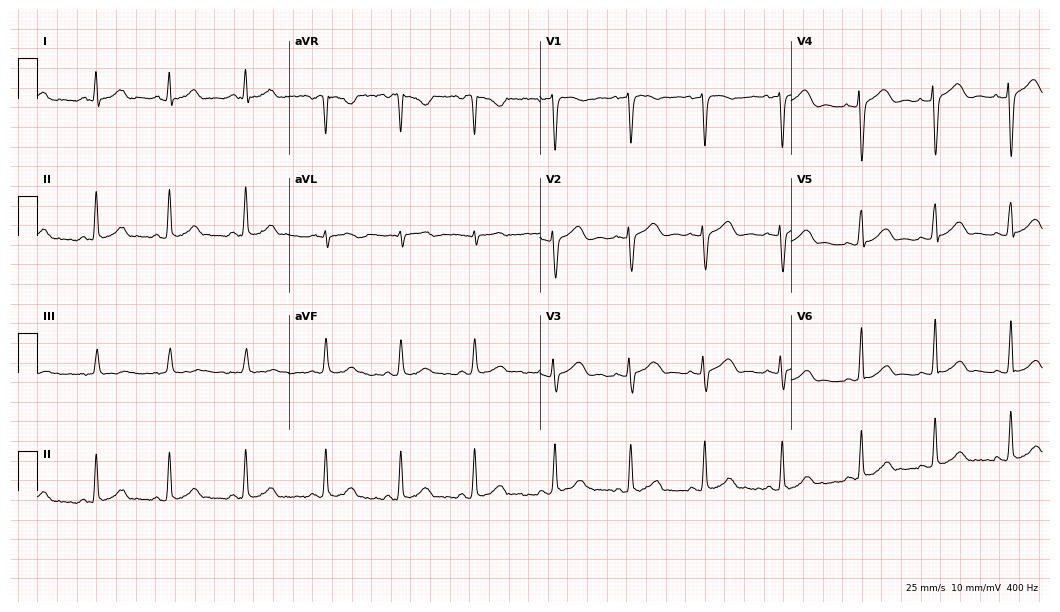
12-lead ECG from a female patient, 34 years old. Labelled as a normal ECG.